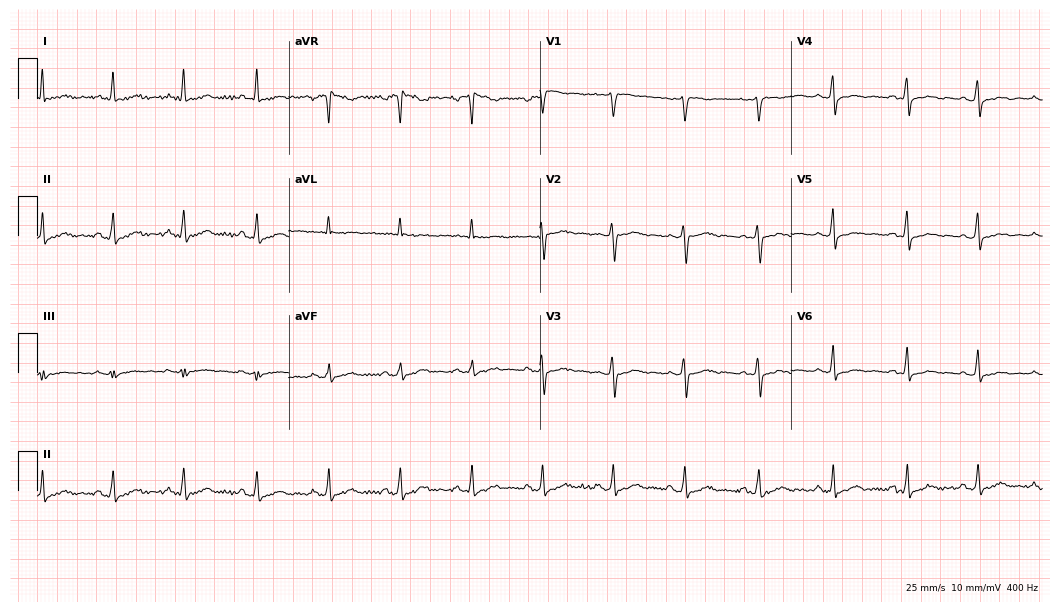
Resting 12-lead electrocardiogram. Patient: a female, 43 years old. None of these six findings is recorded: first-degree AV block, right bundle branch block, left bundle branch block, sinus bradycardia, atrial fibrillation, sinus tachycardia. Other findings, if any, are not listed.